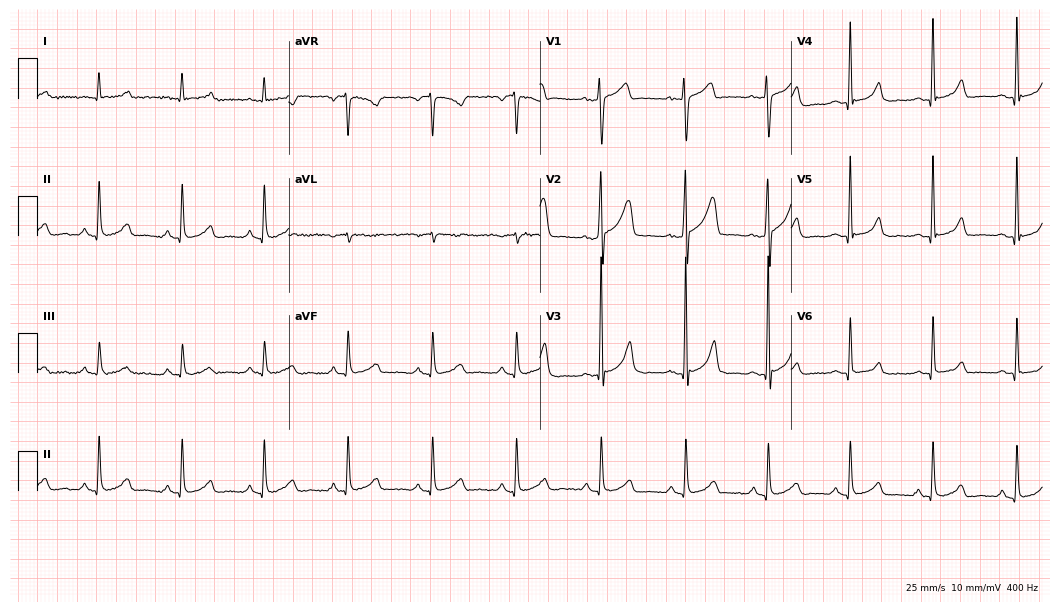
Resting 12-lead electrocardiogram (10.2-second recording at 400 Hz). Patient: a male, 35 years old. None of these six findings is recorded: first-degree AV block, right bundle branch block, left bundle branch block, sinus bradycardia, atrial fibrillation, sinus tachycardia.